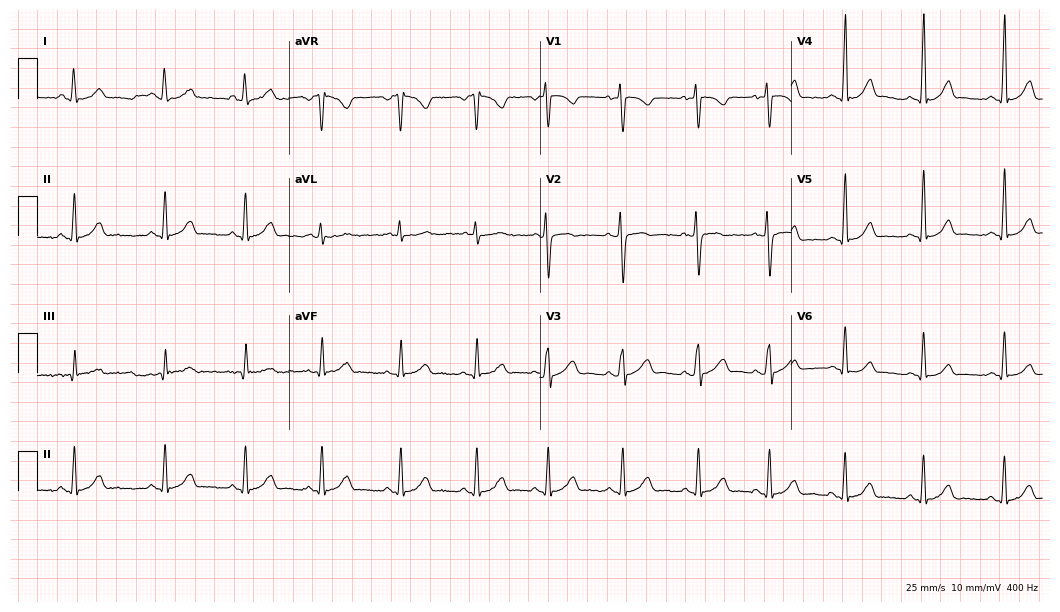
Electrocardiogram (10.2-second recording at 400 Hz), a 30-year-old female patient. Overall reading on record: normal ECG.